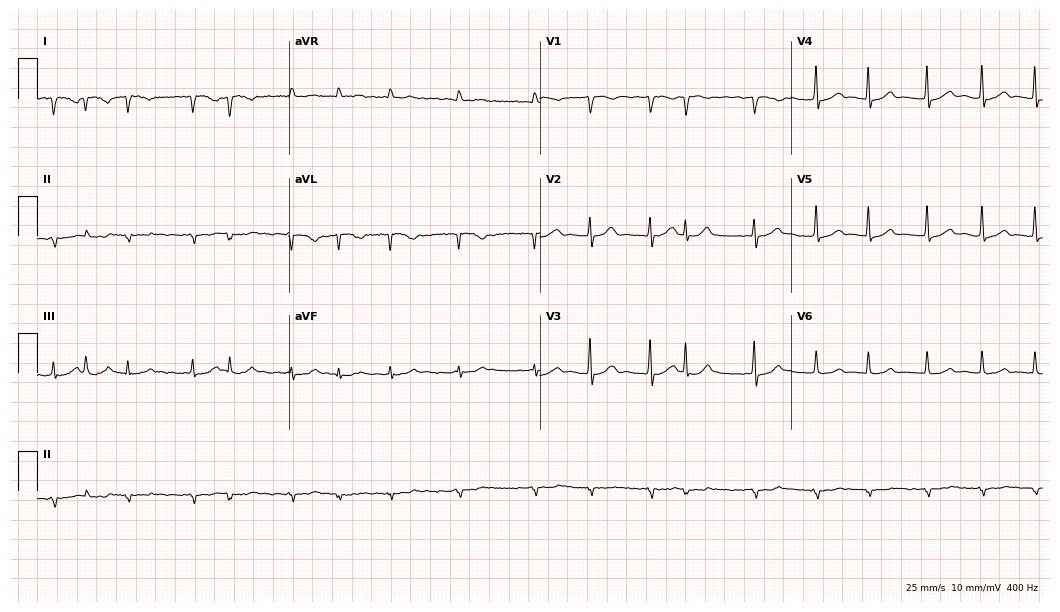
Electrocardiogram (10.2-second recording at 400 Hz), a female patient, 80 years old. Of the six screened findings (first-degree AV block, right bundle branch block, left bundle branch block, sinus bradycardia, atrial fibrillation, sinus tachycardia), none is recorded. Findings outside these six are not listed.